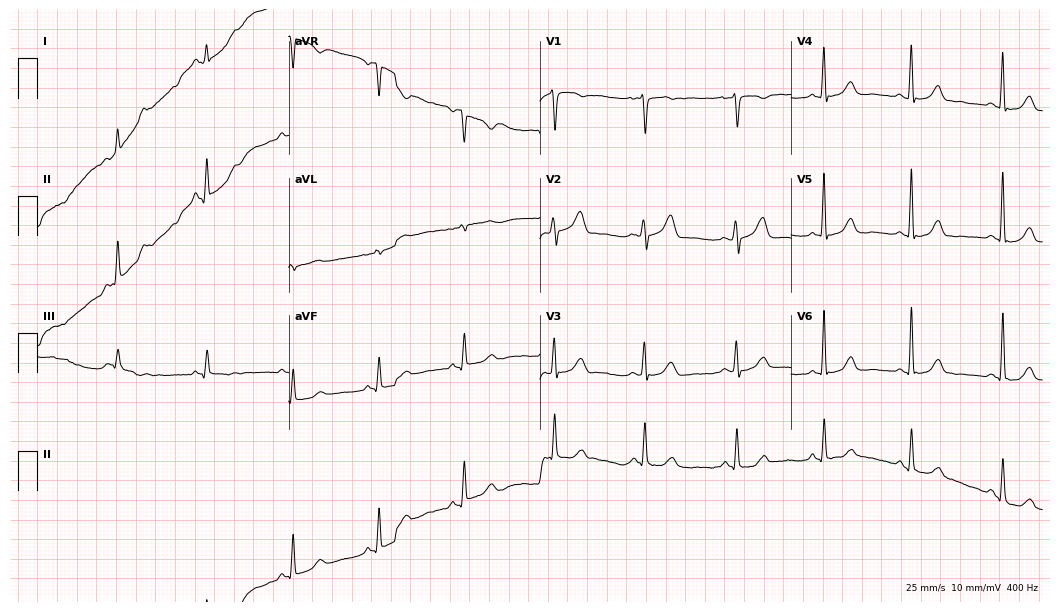
12-lead ECG (10.2-second recording at 400 Hz) from a female, 57 years old. Labelled as a normal ECG.